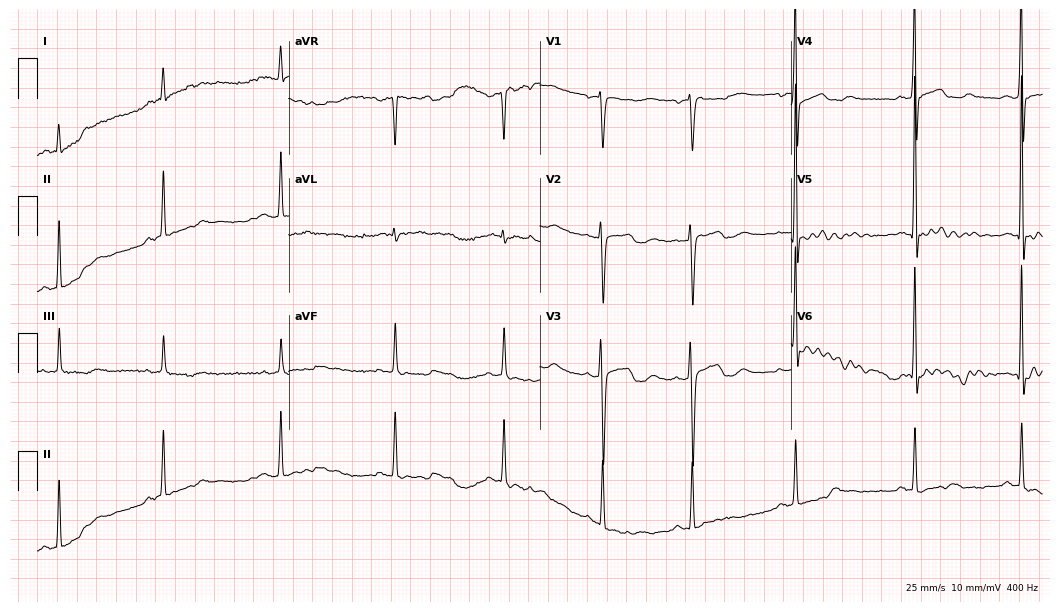
12-lead ECG from a 36-year-old male (10.2-second recording at 400 Hz). No first-degree AV block, right bundle branch block, left bundle branch block, sinus bradycardia, atrial fibrillation or sinus tachycardia recorded for this tracing.